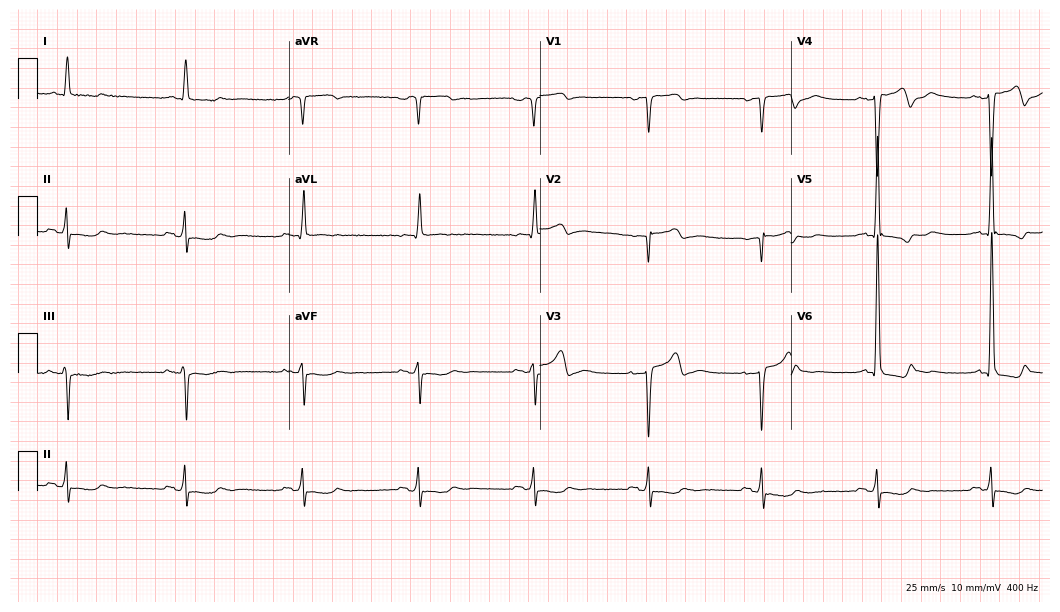
12-lead ECG from a 73-year-old female. No first-degree AV block, right bundle branch block, left bundle branch block, sinus bradycardia, atrial fibrillation or sinus tachycardia recorded for this tracing.